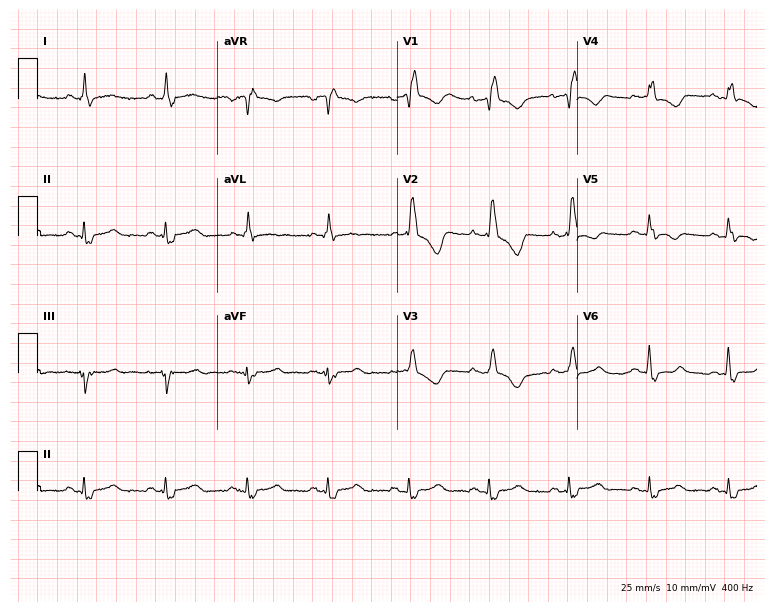
Resting 12-lead electrocardiogram (7.3-second recording at 400 Hz). Patient: a 37-year-old woman. None of these six findings is recorded: first-degree AV block, right bundle branch block, left bundle branch block, sinus bradycardia, atrial fibrillation, sinus tachycardia. Other findings, if any, are not listed.